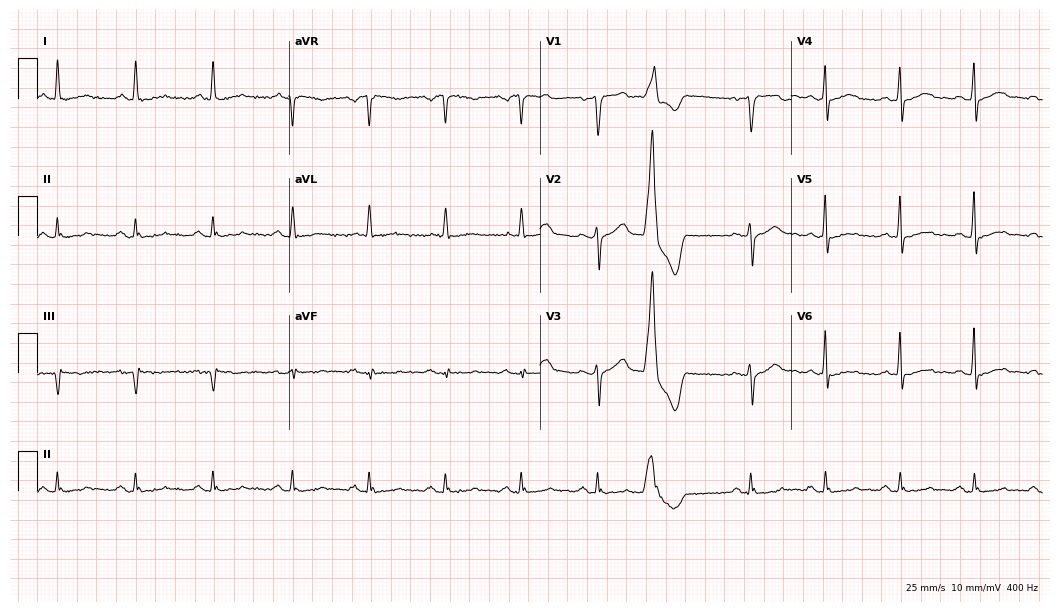
ECG (10.2-second recording at 400 Hz) — a male, 65 years old. Labelled as a normal ECG.